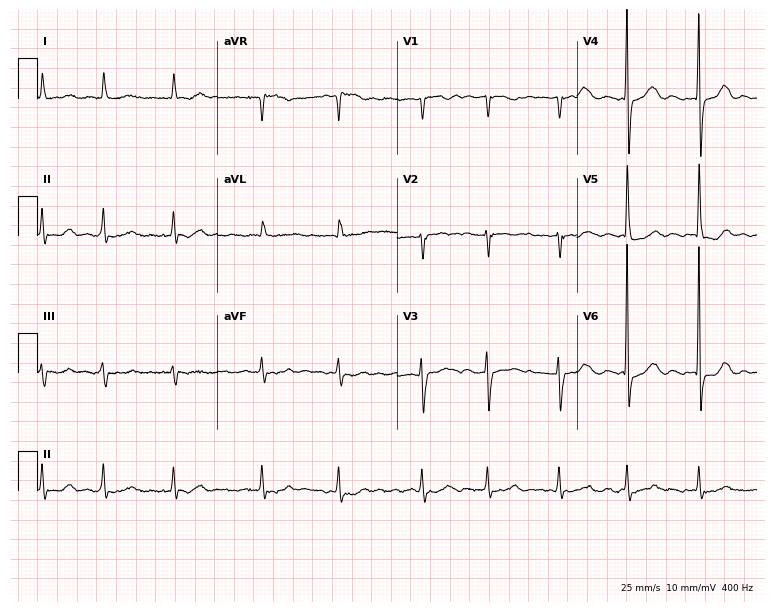
Electrocardiogram, an 82-year-old female patient. Interpretation includes atrial fibrillation.